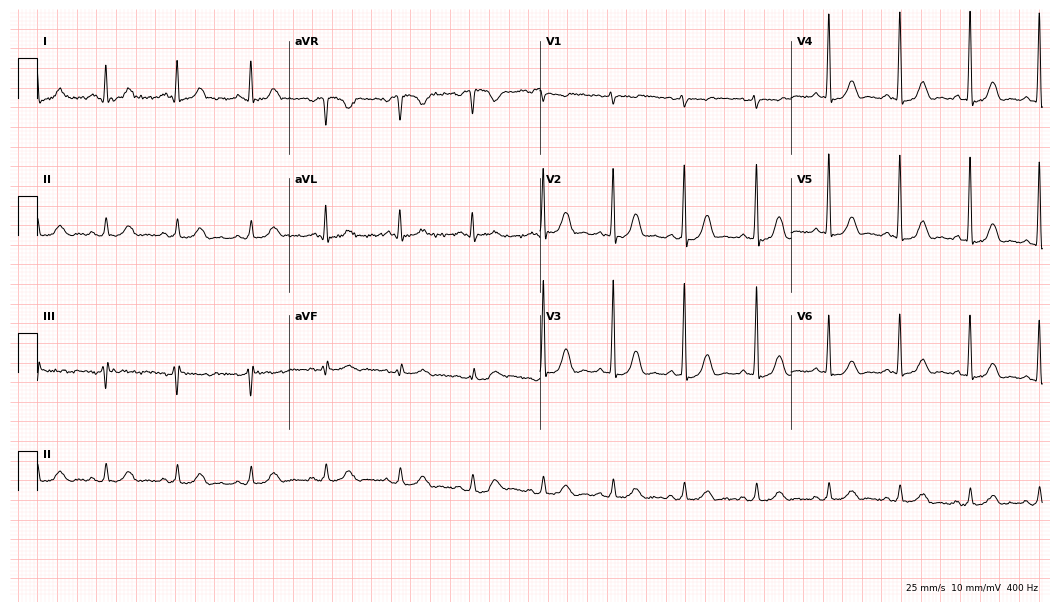
Standard 12-lead ECG recorded from a male, 52 years old. Read as a normal ECG.